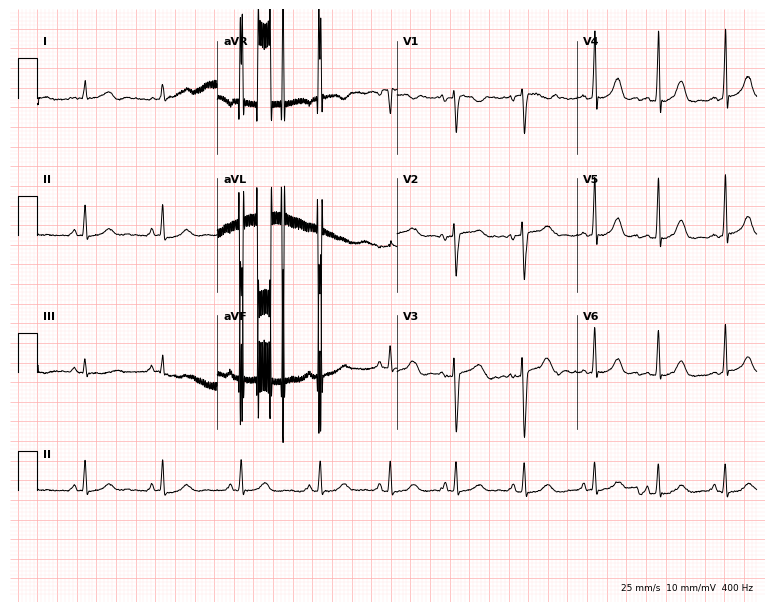
12-lead ECG from a woman, 32 years old. No first-degree AV block, right bundle branch block (RBBB), left bundle branch block (LBBB), sinus bradycardia, atrial fibrillation (AF) or sinus tachycardia recorded for this tracing. Findings outside these six are not listed.